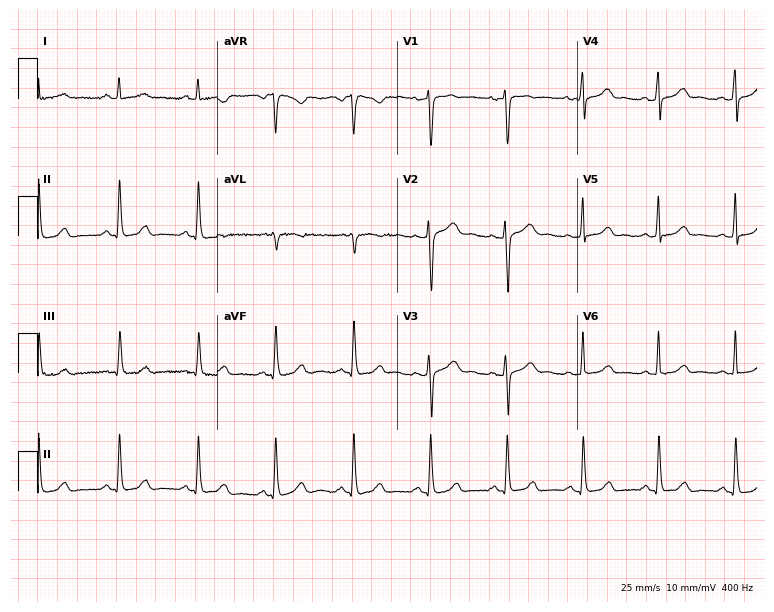
12-lead ECG from a woman, 32 years old. Recorded interpretation: within normal limits.